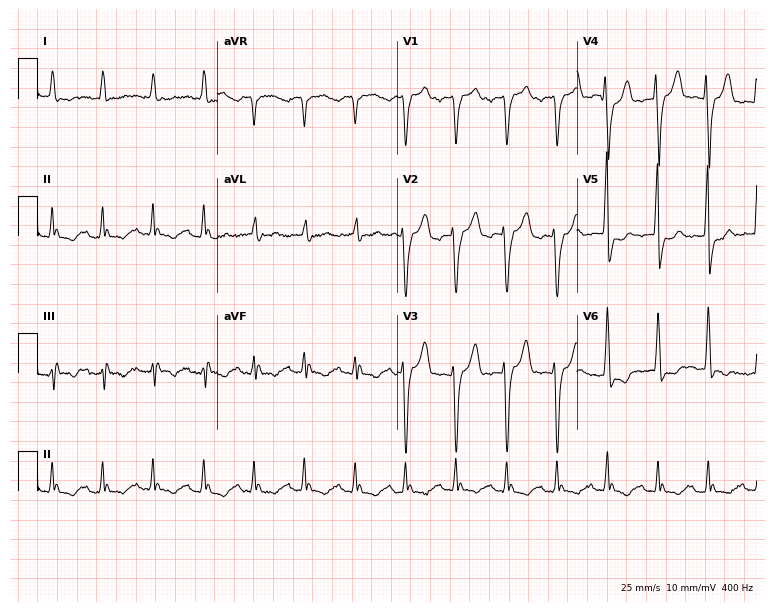
12-lead ECG from a male, 82 years old. No first-degree AV block, right bundle branch block (RBBB), left bundle branch block (LBBB), sinus bradycardia, atrial fibrillation (AF) or sinus tachycardia recorded for this tracing.